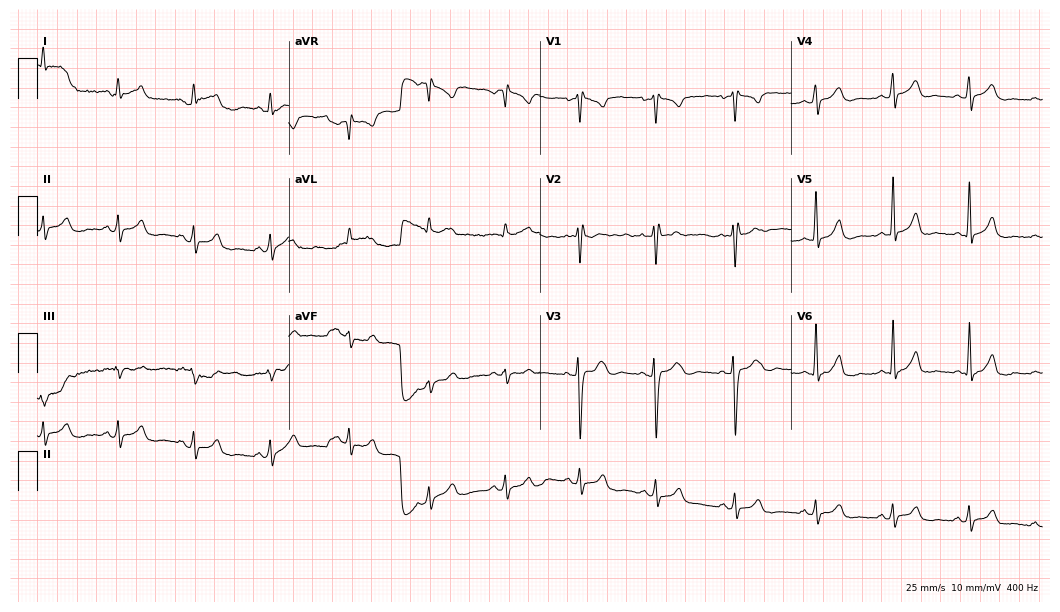
Standard 12-lead ECG recorded from a 27-year-old woman (10.2-second recording at 400 Hz). Read as a normal ECG.